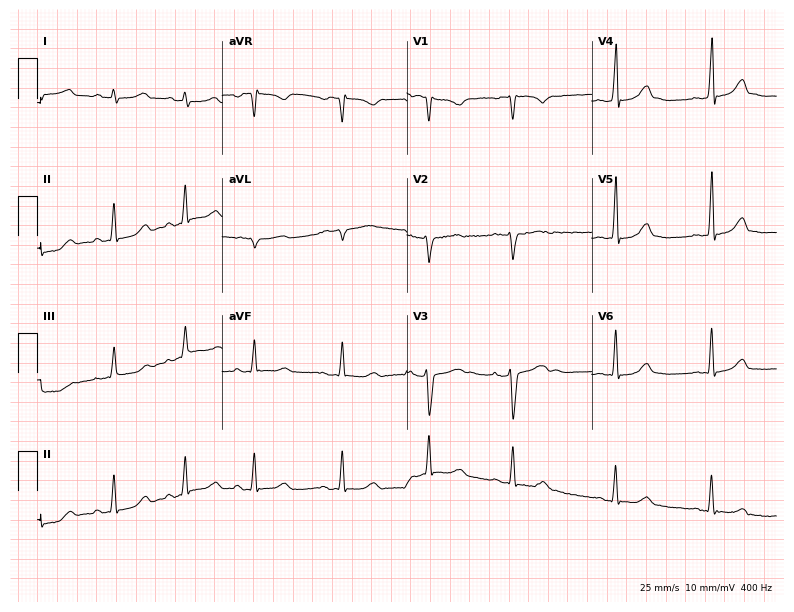
12-lead ECG from a woman, 18 years old. Labelled as a normal ECG.